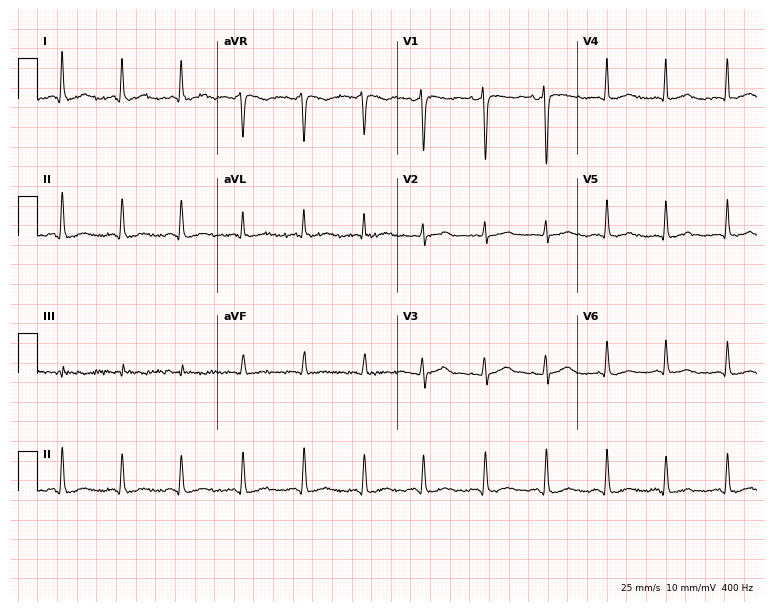
Standard 12-lead ECG recorded from a 37-year-old male (7.3-second recording at 400 Hz). None of these six findings is recorded: first-degree AV block, right bundle branch block, left bundle branch block, sinus bradycardia, atrial fibrillation, sinus tachycardia.